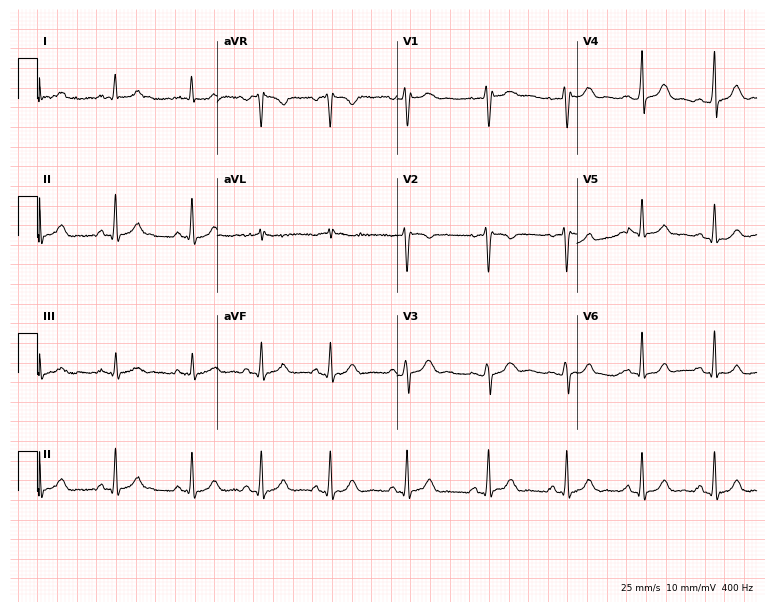
Electrocardiogram (7.3-second recording at 400 Hz), a female patient, 35 years old. Overall reading on record: normal ECG.